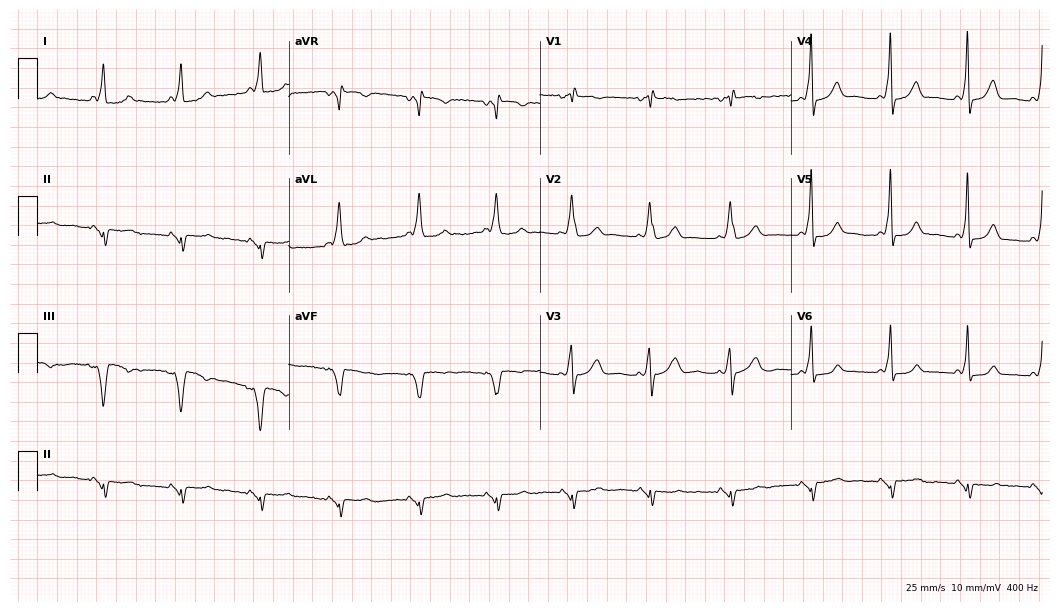
Resting 12-lead electrocardiogram. Patient: a 49-year-old woman. None of these six findings is recorded: first-degree AV block, right bundle branch block (RBBB), left bundle branch block (LBBB), sinus bradycardia, atrial fibrillation (AF), sinus tachycardia. Other findings, if any, are not listed.